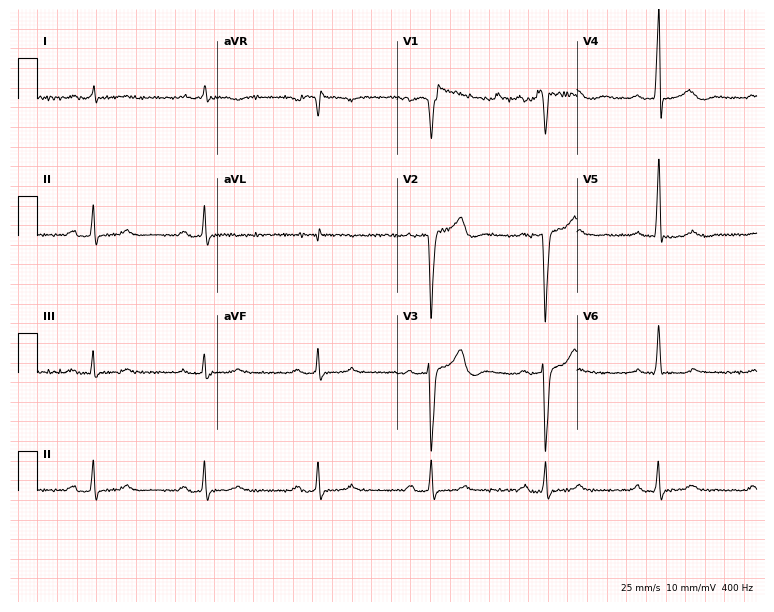
Resting 12-lead electrocardiogram. Patient: a man, 62 years old. The tracing shows first-degree AV block.